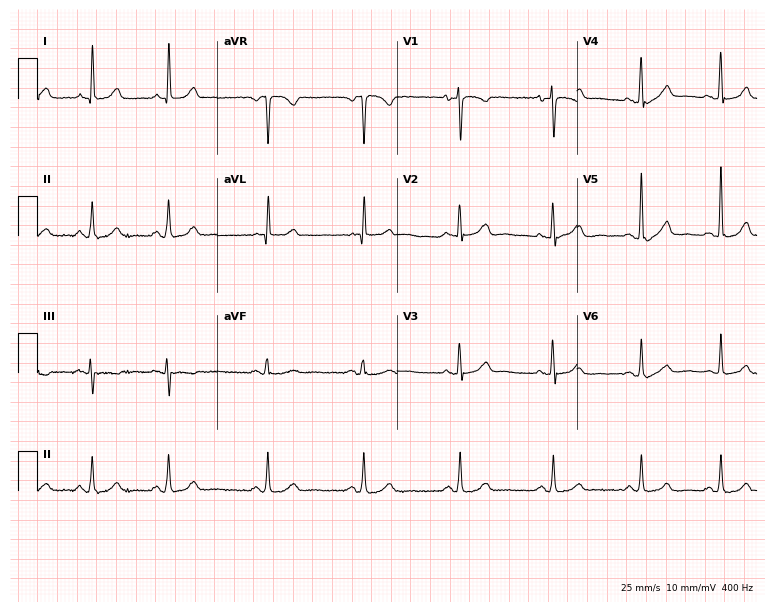
12-lead ECG from a female patient, 65 years old. Recorded interpretation: within normal limits.